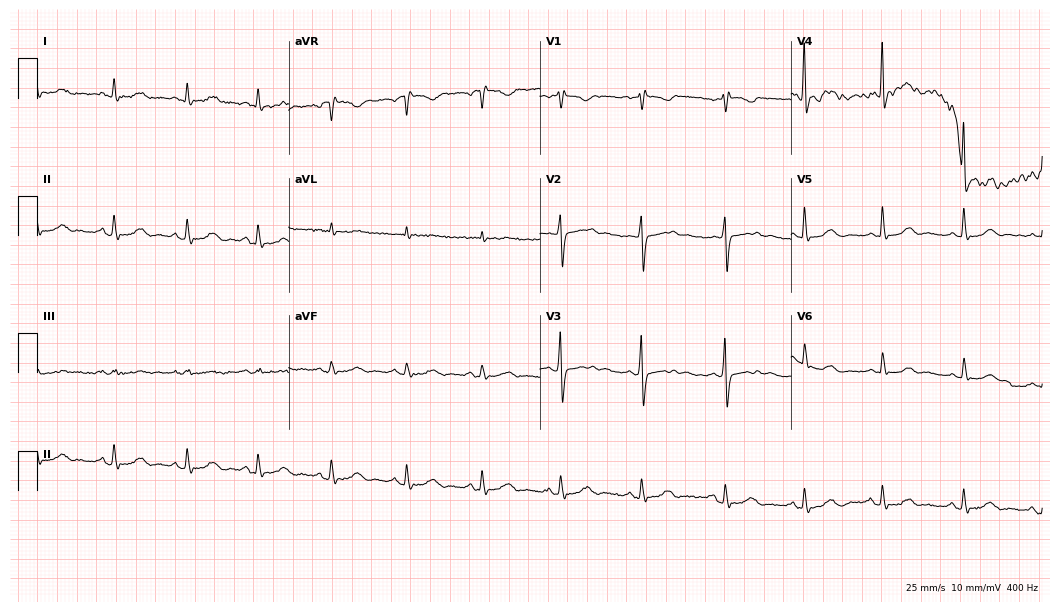
Electrocardiogram (10.2-second recording at 400 Hz), a woman, 74 years old. Overall reading on record: normal ECG.